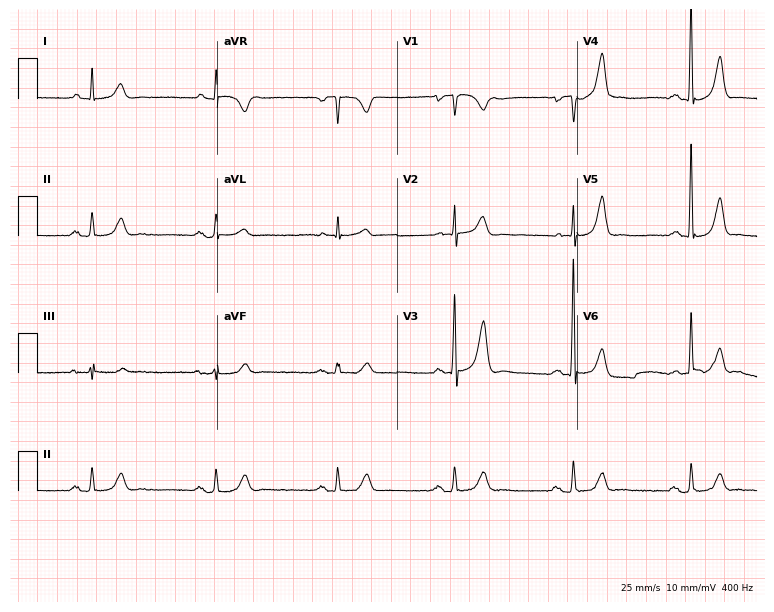
Resting 12-lead electrocardiogram (7.3-second recording at 400 Hz). Patient: an 82-year-old male. The tracing shows sinus bradycardia (a sinus rate of 50 beats per minute or less).